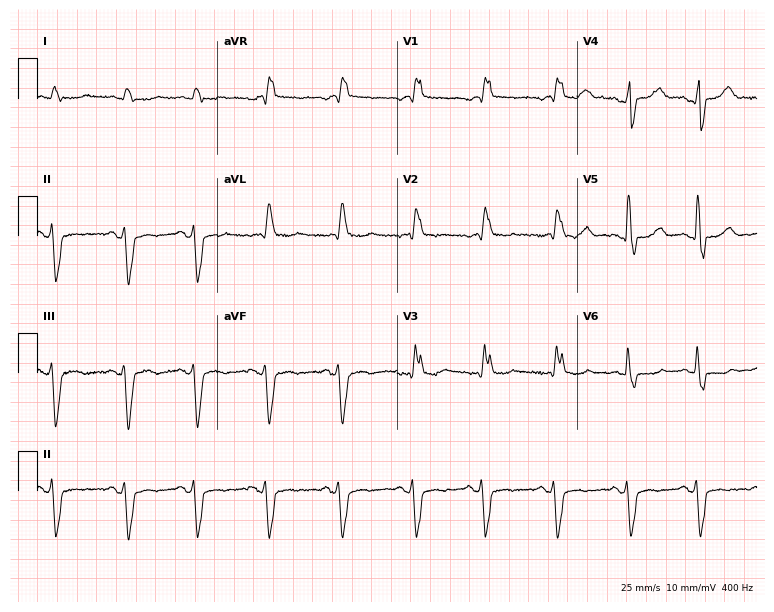
Resting 12-lead electrocardiogram (7.3-second recording at 400 Hz). Patient: an 86-year-old male. The tracing shows right bundle branch block.